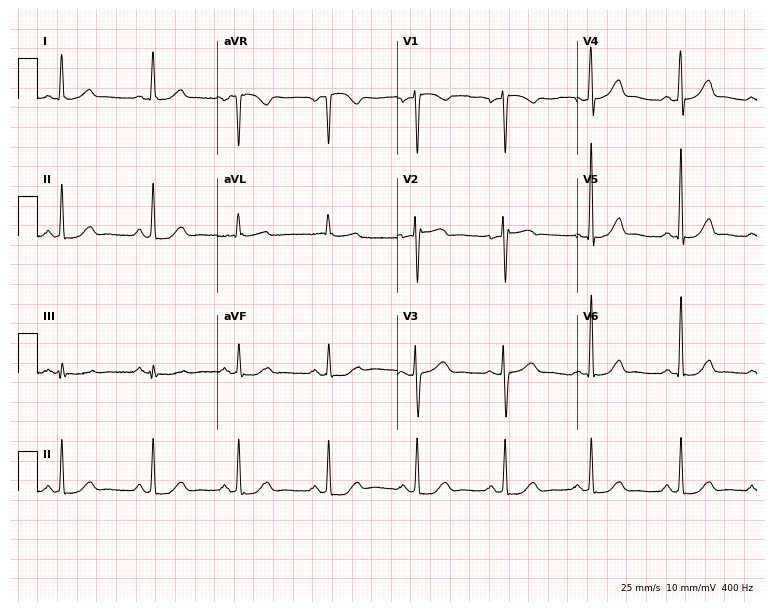
ECG (7.3-second recording at 400 Hz) — a 39-year-old female. Screened for six findings — first-degree AV block, right bundle branch block, left bundle branch block, sinus bradycardia, atrial fibrillation, sinus tachycardia — none is recorded.